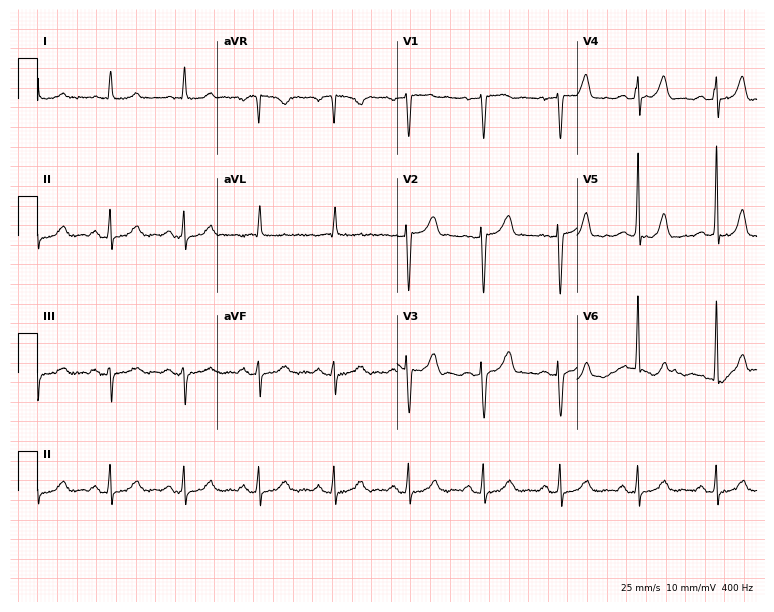
Resting 12-lead electrocardiogram. Patient: a woman, 67 years old. None of these six findings is recorded: first-degree AV block, right bundle branch block, left bundle branch block, sinus bradycardia, atrial fibrillation, sinus tachycardia. Findings outside these six are not listed.